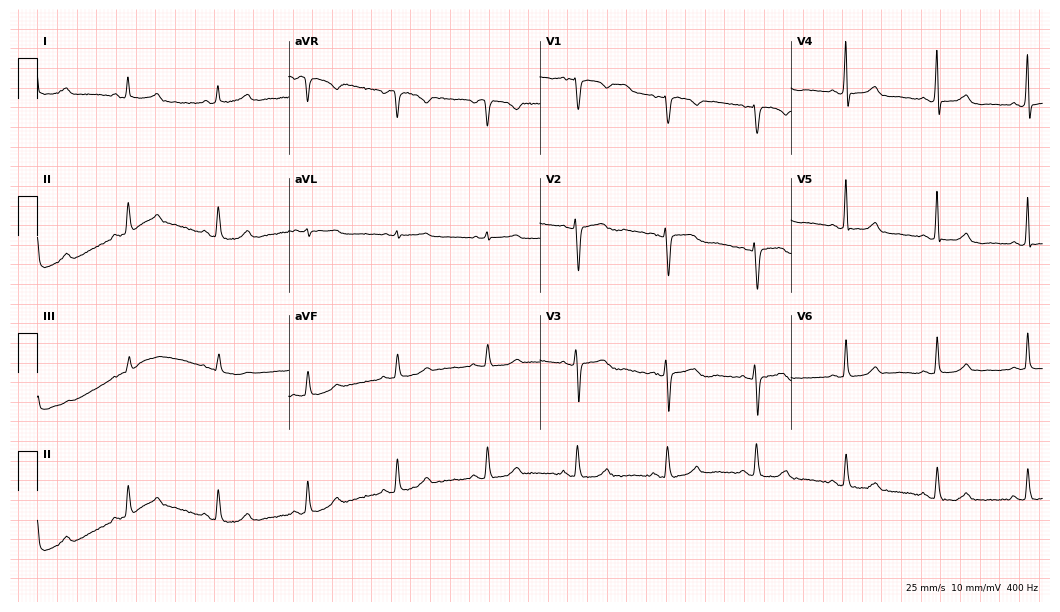
12-lead ECG (10.2-second recording at 400 Hz) from a 64-year-old woman. Labelled as a normal ECG.